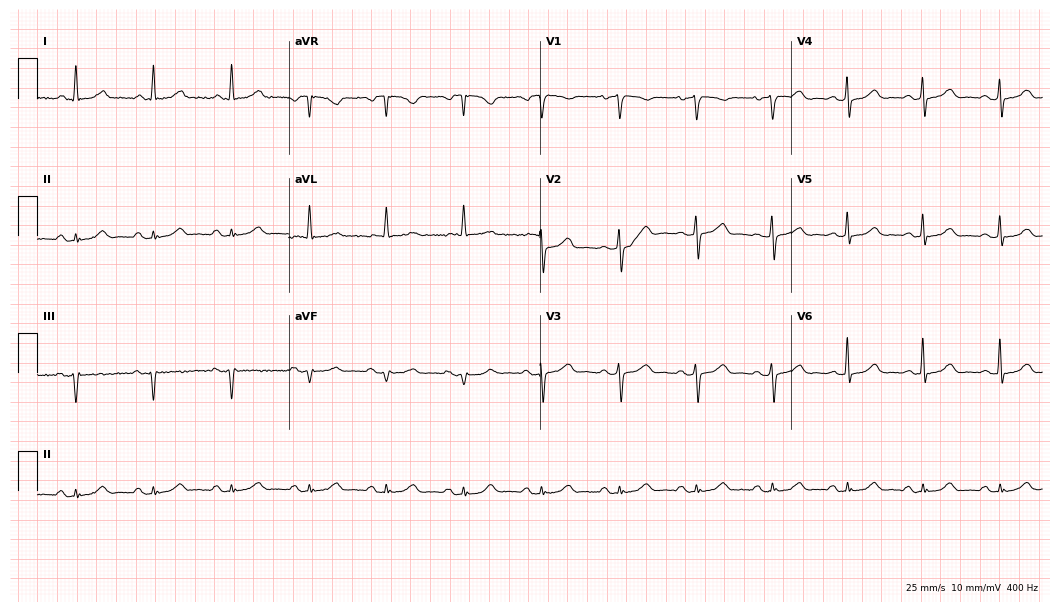
ECG (10.2-second recording at 400 Hz) — a 65-year-old female patient. Labelled as a normal ECG.